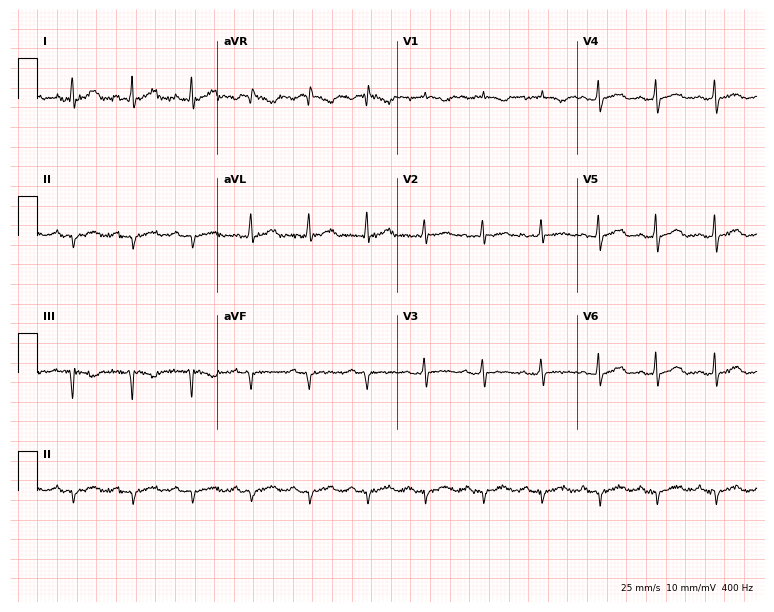
Resting 12-lead electrocardiogram. Patient: a 58-year-old woman. None of these six findings is recorded: first-degree AV block, right bundle branch block, left bundle branch block, sinus bradycardia, atrial fibrillation, sinus tachycardia.